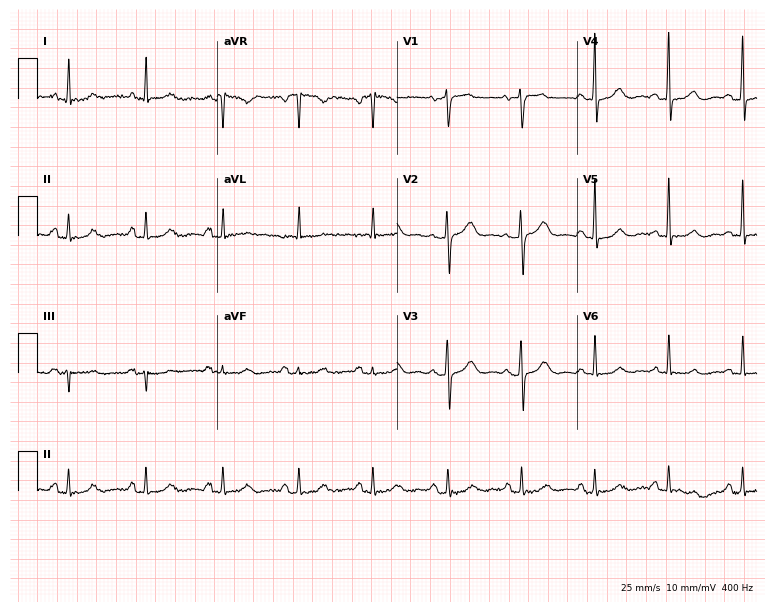
Standard 12-lead ECG recorded from a 57-year-old female. Read as a normal ECG.